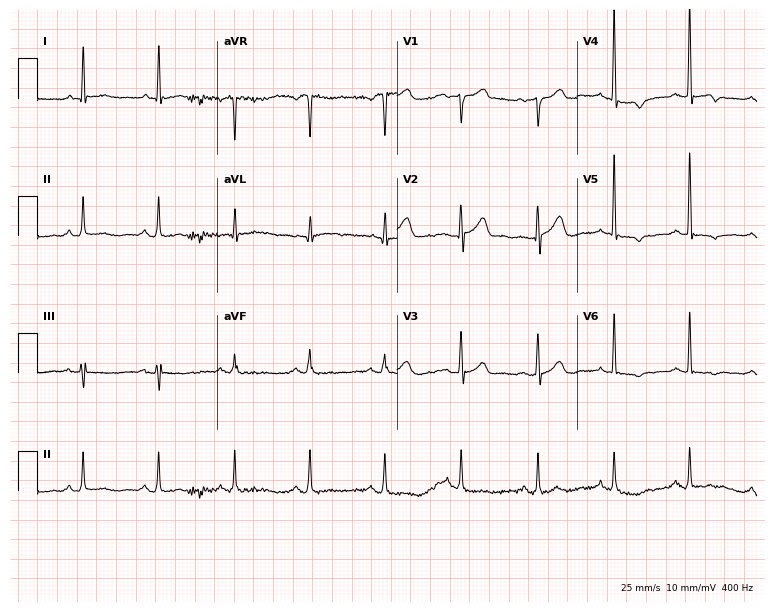
Resting 12-lead electrocardiogram. Patient: a male, 66 years old. None of these six findings is recorded: first-degree AV block, right bundle branch block, left bundle branch block, sinus bradycardia, atrial fibrillation, sinus tachycardia.